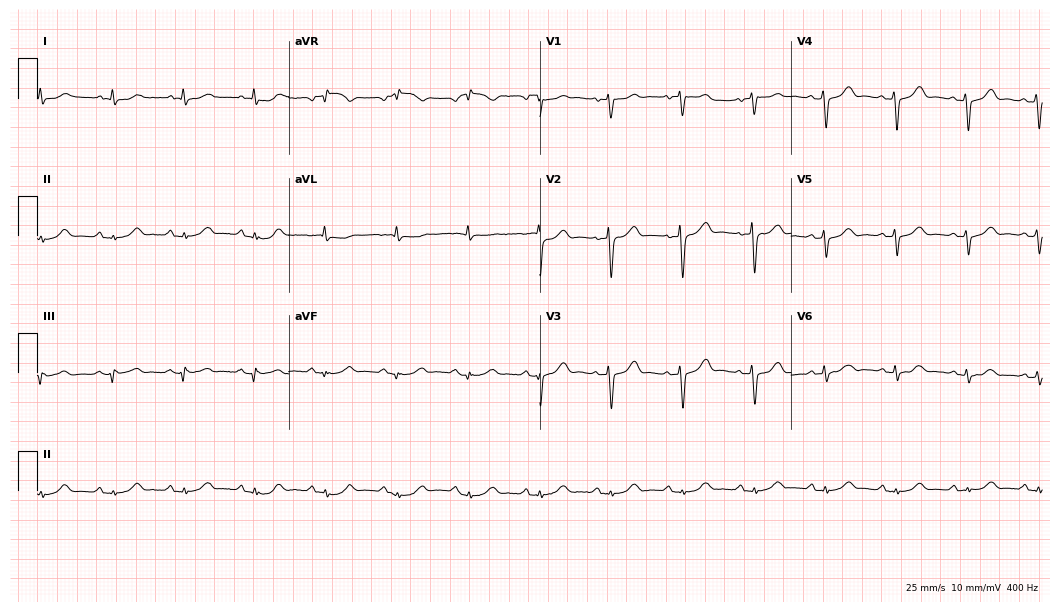
Electrocardiogram, a 76-year-old female. Of the six screened findings (first-degree AV block, right bundle branch block (RBBB), left bundle branch block (LBBB), sinus bradycardia, atrial fibrillation (AF), sinus tachycardia), none is recorded. Only these six findings were labelled.